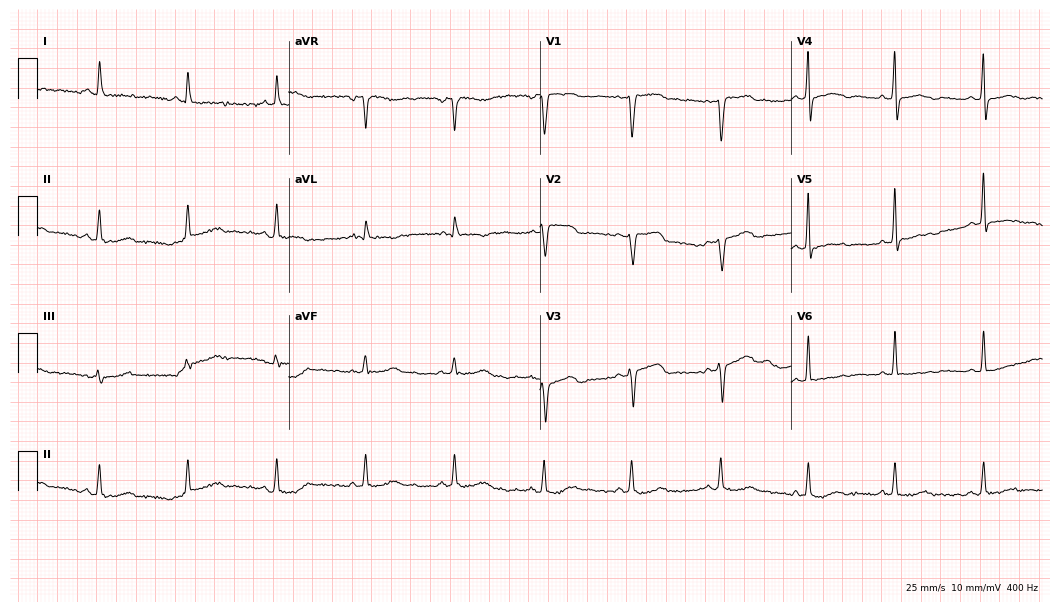
ECG (10.2-second recording at 400 Hz) — a female patient, 70 years old. Labelled as a normal ECG.